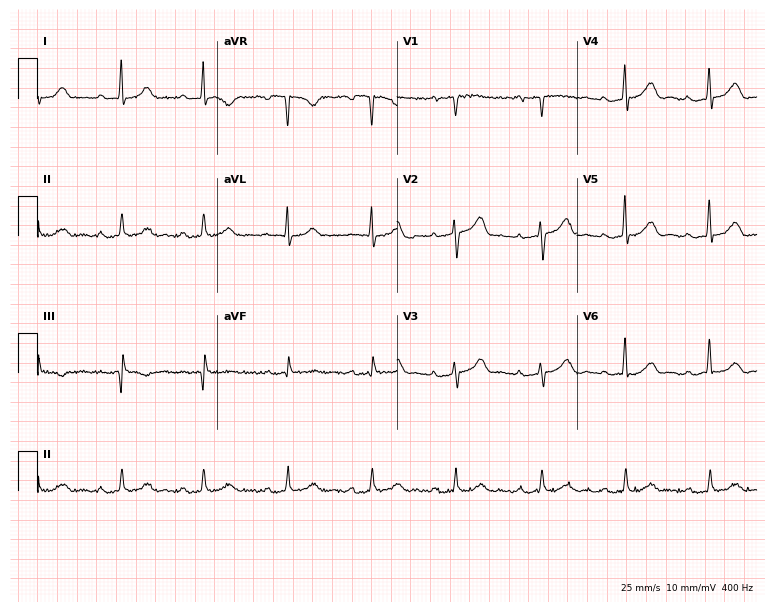
12-lead ECG from a female, 54 years old. Recorded interpretation: within normal limits.